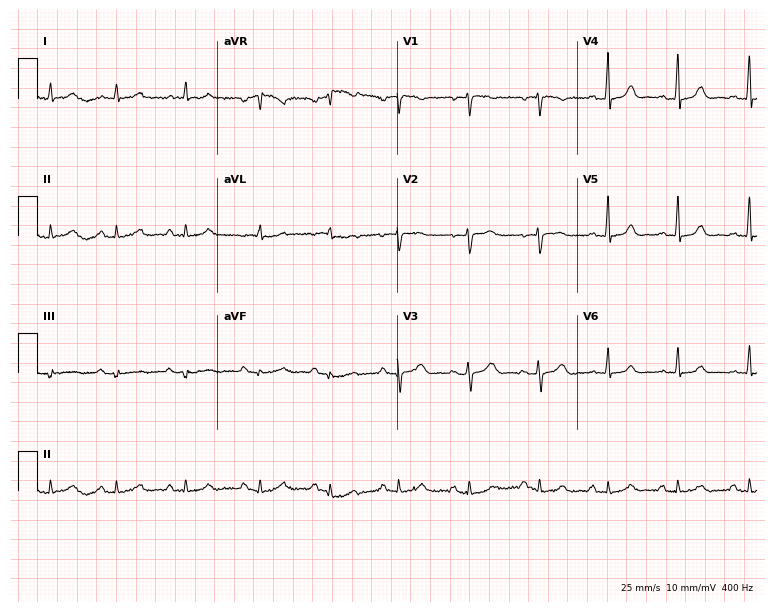
ECG — a 38-year-old female. Labelled as a normal ECG.